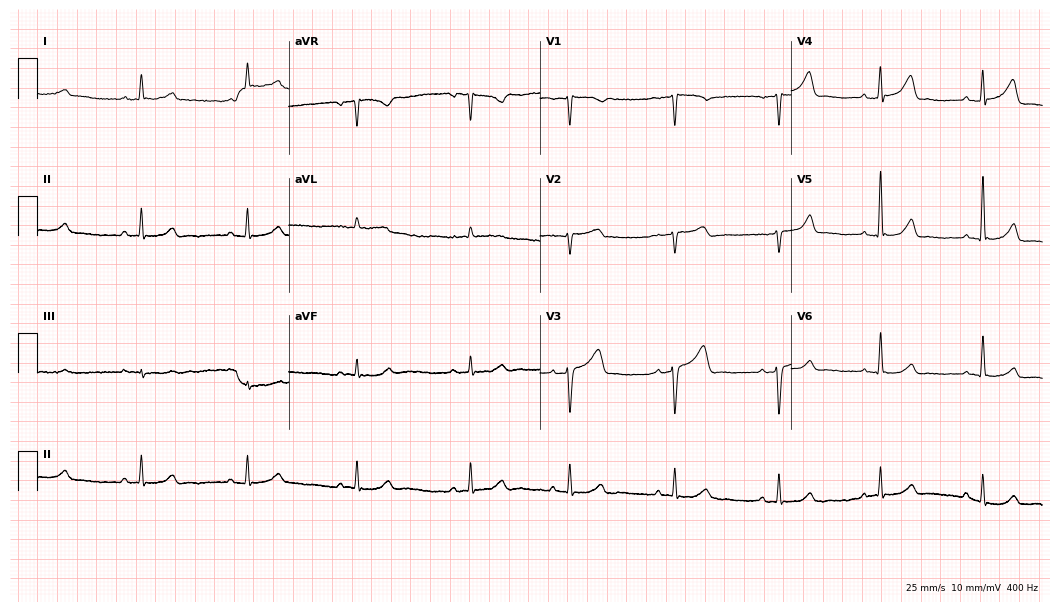
Standard 12-lead ECG recorded from a 62-year-old female. None of these six findings is recorded: first-degree AV block, right bundle branch block (RBBB), left bundle branch block (LBBB), sinus bradycardia, atrial fibrillation (AF), sinus tachycardia. Findings outside these six are not listed.